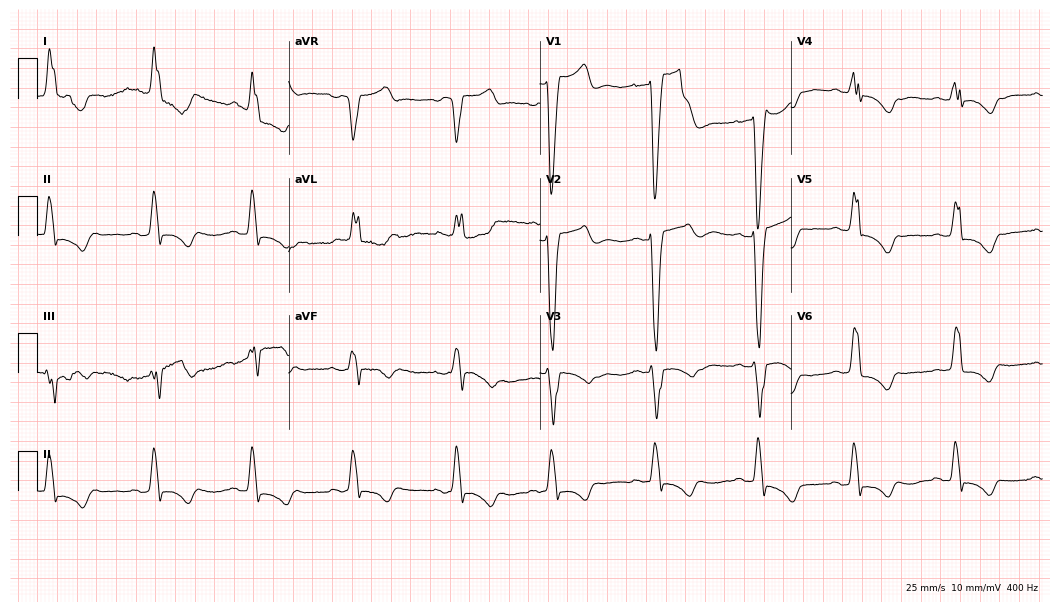
ECG — a 65-year-old woman. Findings include left bundle branch block (LBBB).